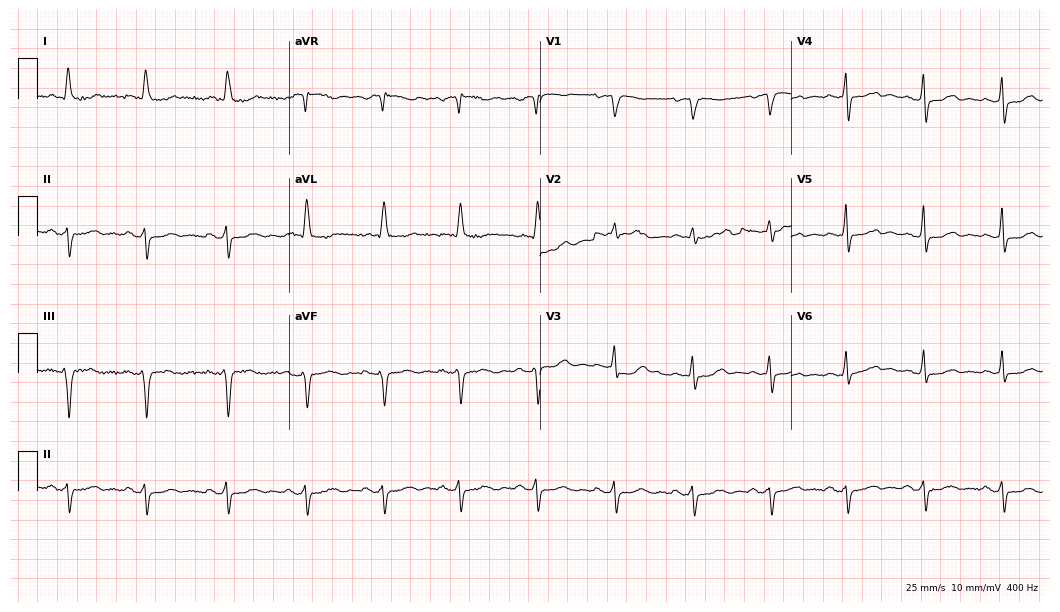
ECG — an 81-year-old female patient. Screened for six findings — first-degree AV block, right bundle branch block (RBBB), left bundle branch block (LBBB), sinus bradycardia, atrial fibrillation (AF), sinus tachycardia — none is recorded.